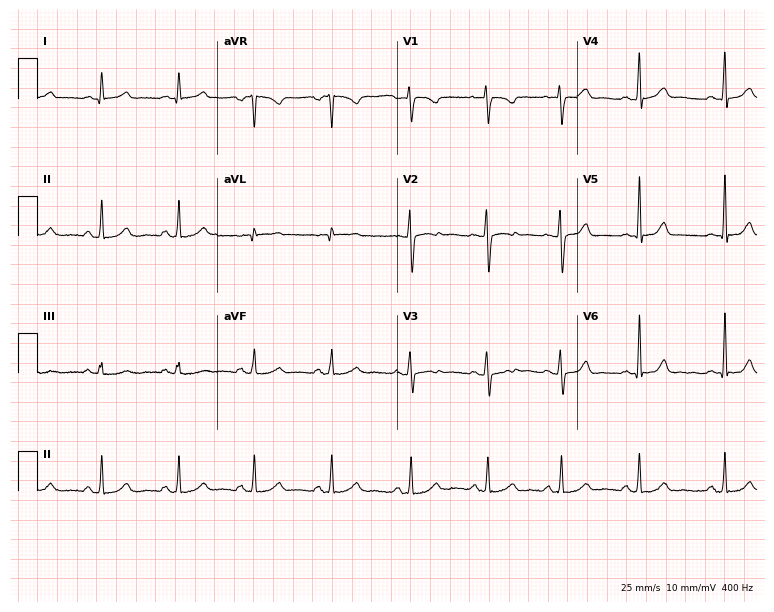
12-lead ECG (7.3-second recording at 400 Hz) from a woman, 30 years old. Labelled as a normal ECG.